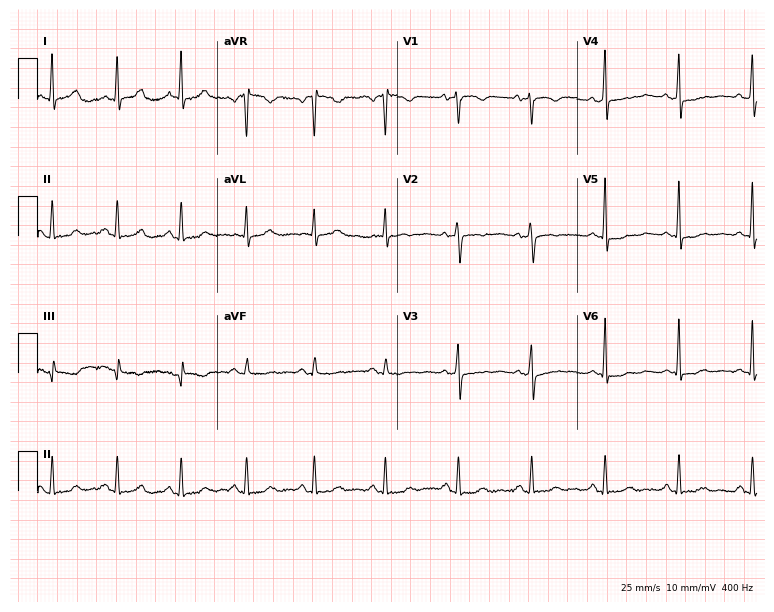
Resting 12-lead electrocardiogram (7.3-second recording at 400 Hz). Patient: a 53-year-old woman. None of these six findings is recorded: first-degree AV block, right bundle branch block, left bundle branch block, sinus bradycardia, atrial fibrillation, sinus tachycardia. Other findings, if any, are not listed.